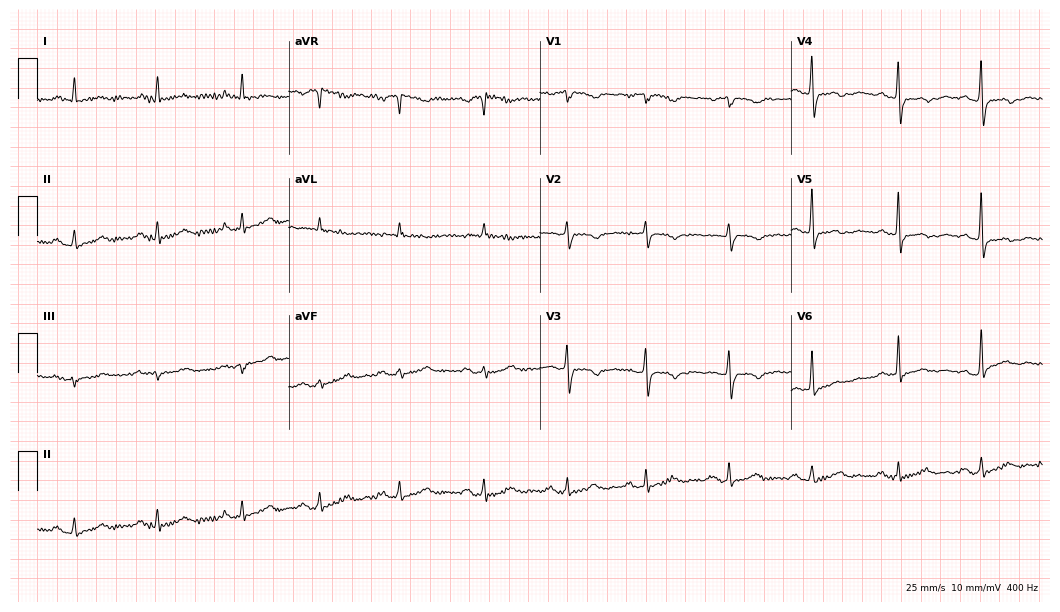
Resting 12-lead electrocardiogram. Patient: a 75-year-old female. None of these six findings is recorded: first-degree AV block, right bundle branch block (RBBB), left bundle branch block (LBBB), sinus bradycardia, atrial fibrillation (AF), sinus tachycardia.